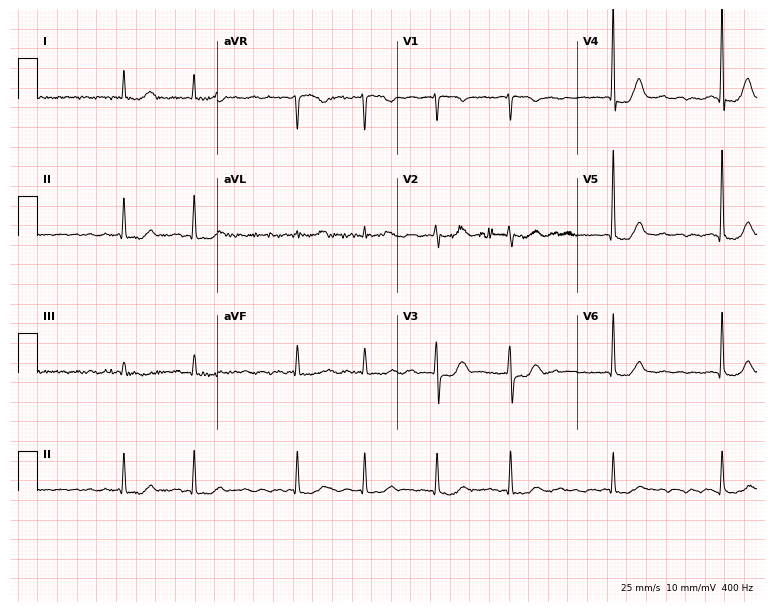
Standard 12-lead ECG recorded from a woman, 79 years old. The tracing shows atrial fibrillation.